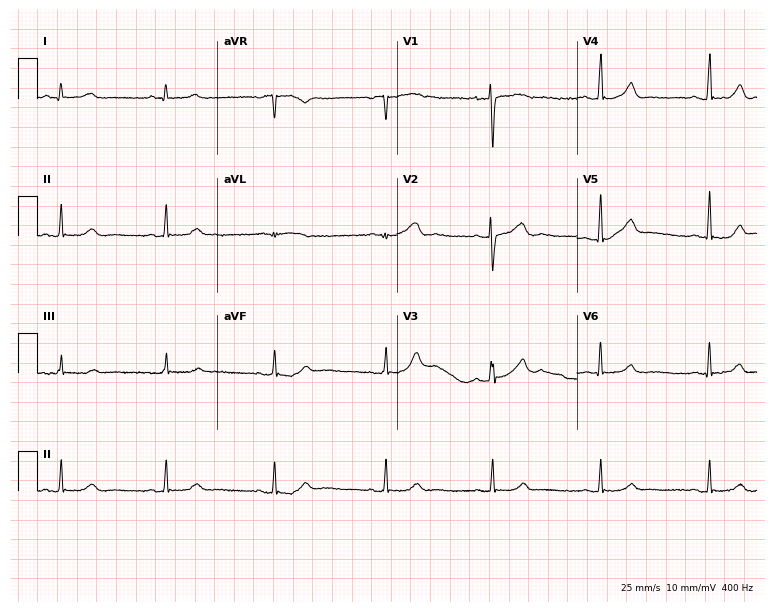
Resting 12-lead electrocardiogram. Patient: a 39-year-old woman. None of these six findings is recorded: first-degree AV block, right bundle branch block (RBBB), left bundle branch block (LBBB), sinus bradycardia, atrial fibrillation (AF), sinus tachycardia.